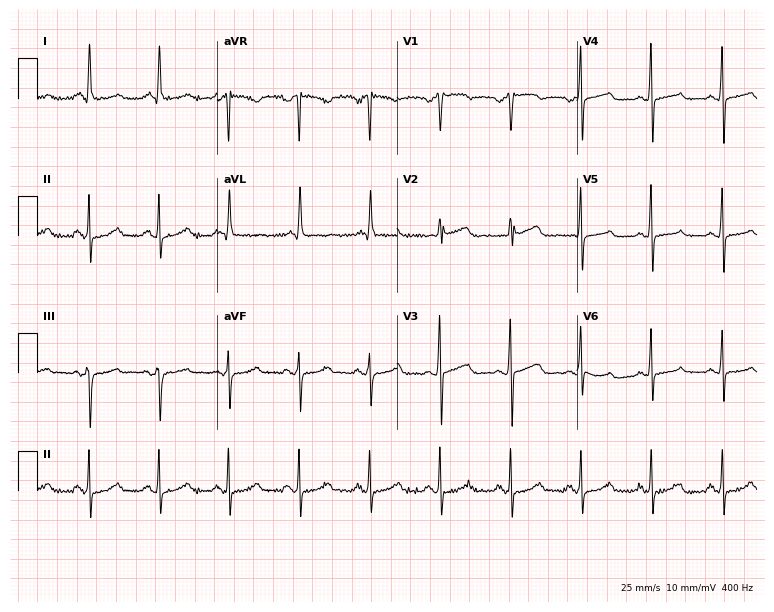
ECG — a female patient, 56 years old. Screened for six findings — first-degree AV block, right bundle branch block, left bundle branch block, sinus bradycardia, atrial fibrillation, sinus tachycardia — none is recorded. Findings outside these six are not listed.